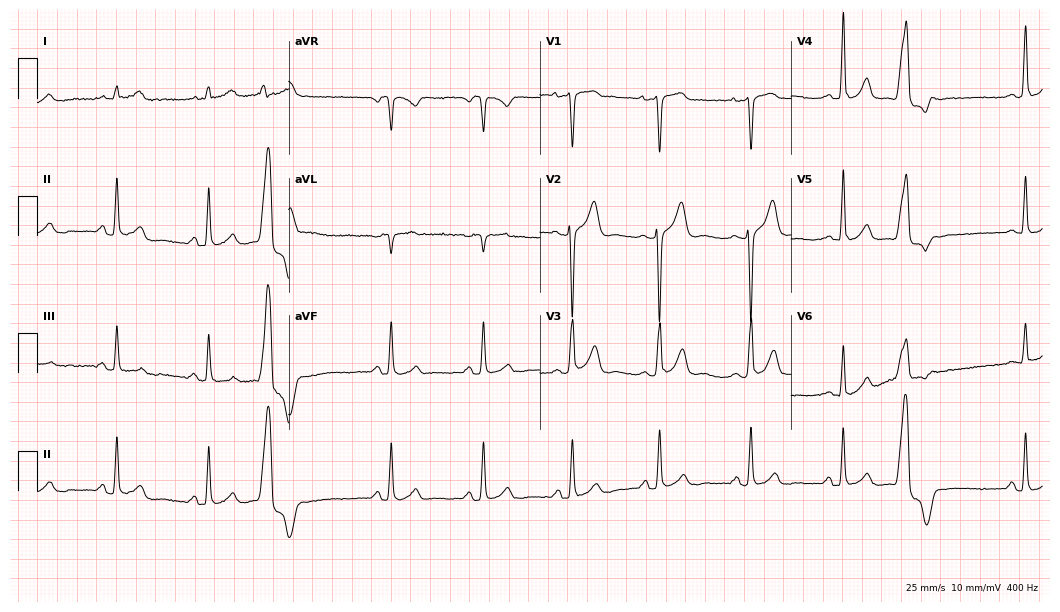
Electrocardiogram (10.2-second recording at 400 Hz), a male, 25 years old. Of the six screened findings (first-degree AV block, right bundle branch block (RBBB), left bundle branch block (LBBB), sinus bradycardia, atrial fibrillation (AF), sinus tachycardia), none is recorded. Findings outside these six are not listed.